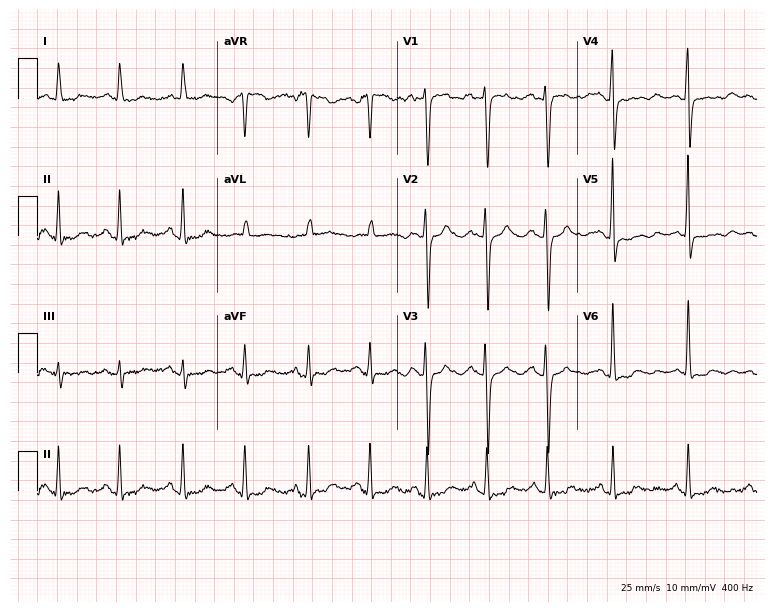
Standard 12-lead ECG recorded from a 56-year-old female patient. None of these six findings is recorded: first-degree AV block, right bundle branch block (RBBB), left bundle branch block (LBBB), sinus bradycardia, atrial fibrillation (AF), sinus tachycardia.